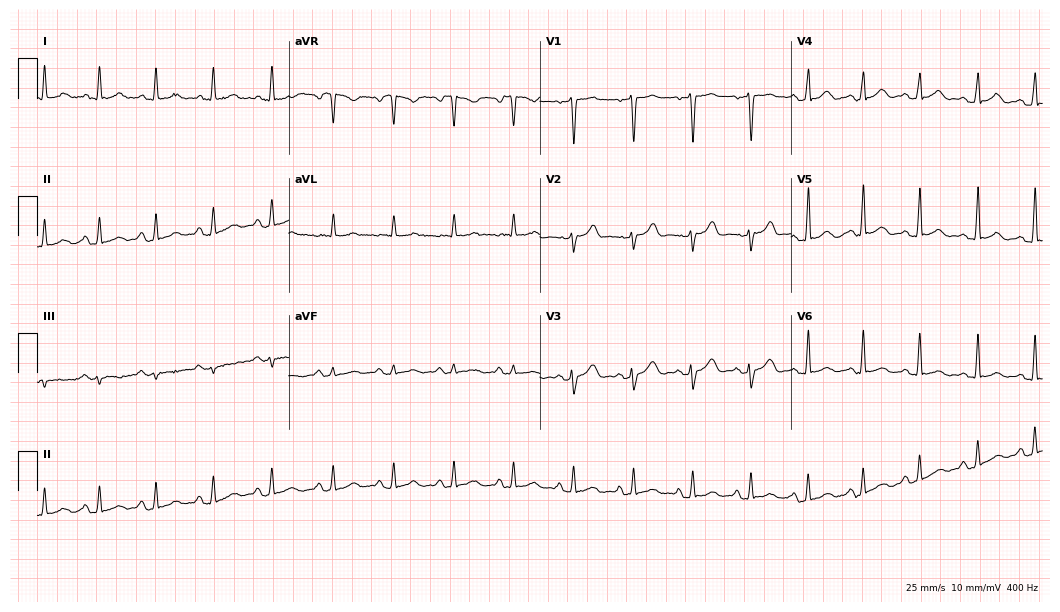
Electrocardiogram (10.2-second recording at 400 Hz), a female patient, 42 years old. Interpretation includes sinus tachycardia (a sinus rate of 100 beats per minute or more).